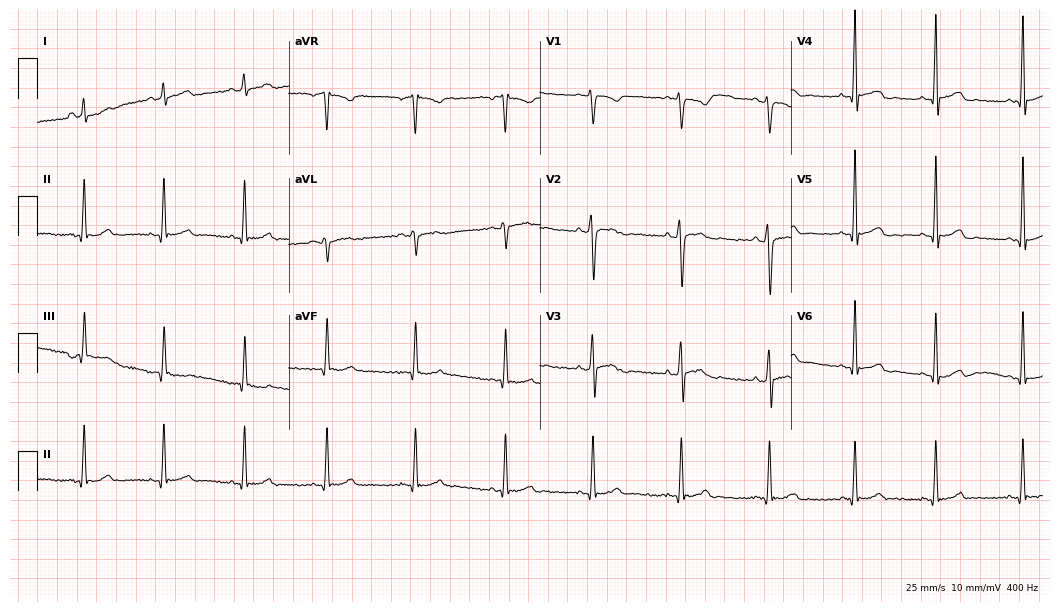
Standard 12-lead ECG recorded from a 29-year-old male patient. Read as a normal ECG.